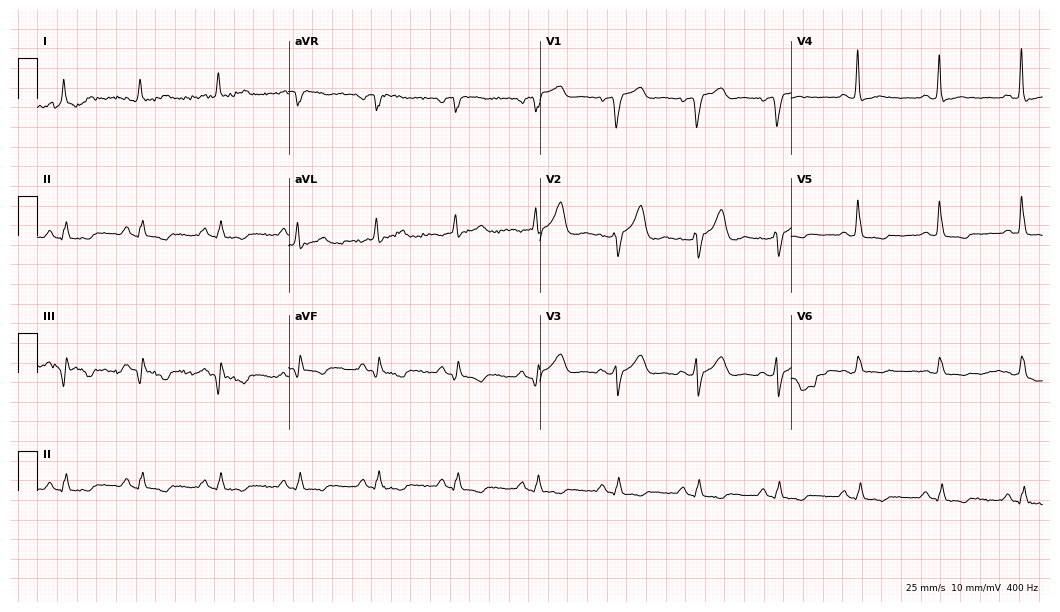
12-lead ECG (10.2-second recording at 400 Hz) from a male, 76 years old. Screened for six findings — first-degree AV block, right bundle branch block, left bundle branch block, sinus bradycardia, atrial fibrillation, sinus tachycardia — none is recorded.